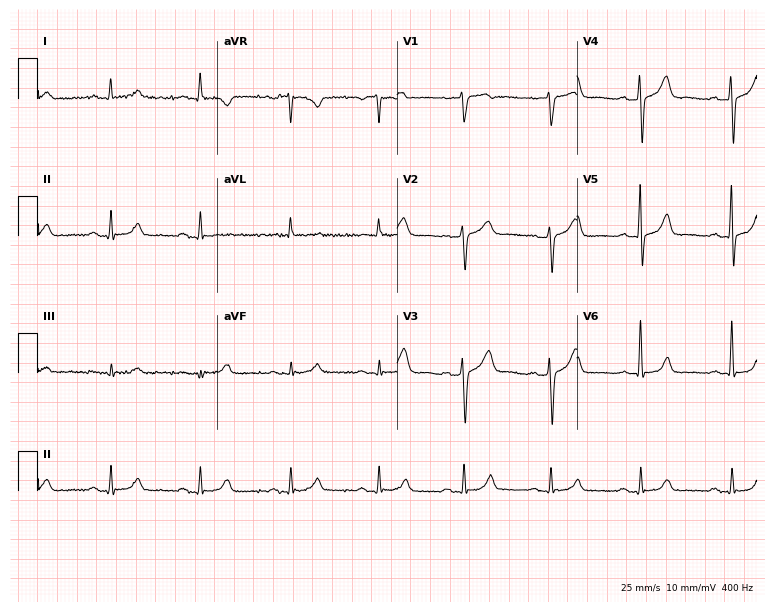
Standard 12-lead ECG recorded from a male patient, 66 years old (7.3-second recording at 400 Hz). Read as a normal ECG.